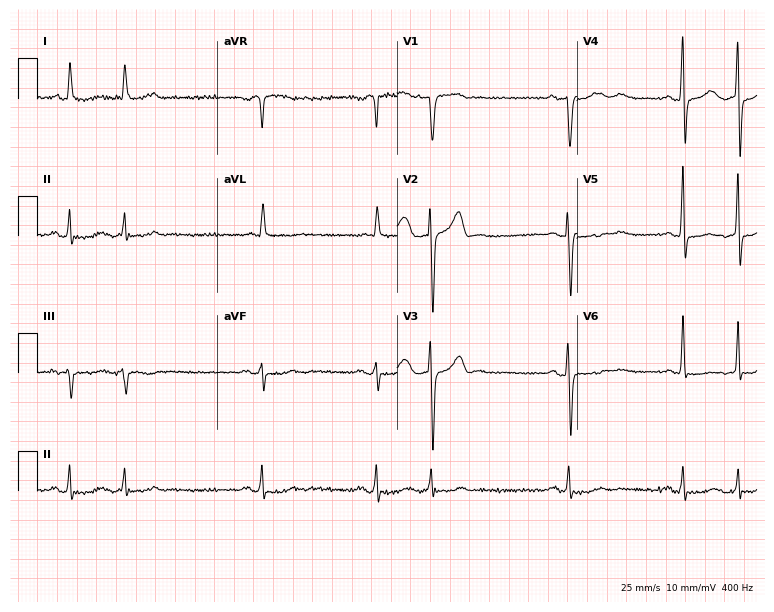
Standard 12-lead ECG recorded from a man, 79 years old (7.3-second recording at 400 Hz). None of these six findings is recorded: first-degree AV block, right bundle branch block (RBBB), left bundle branch block (LBBB), sinus bradycardia, atrial fibrillation (AF), sinus tachycardia. Only these six findings were labelled.